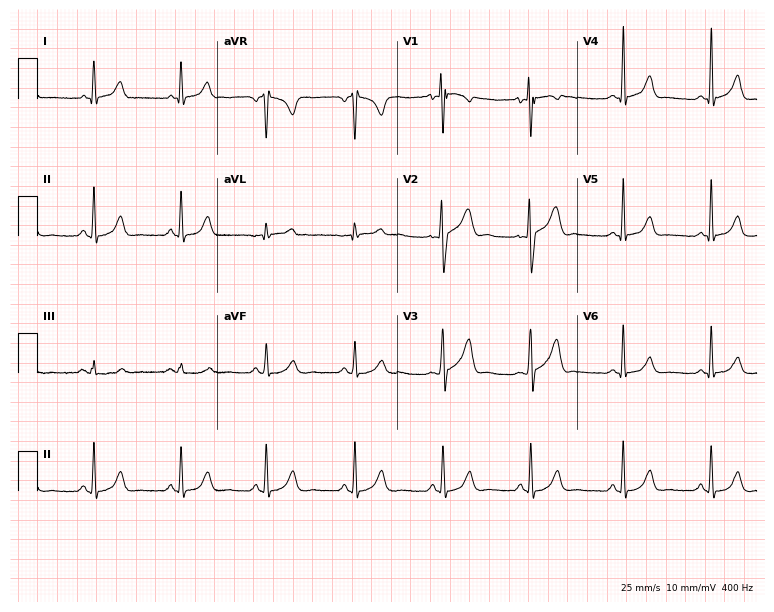
Electrocardiogram, a female, 26 years old. Overall reading on record: normal ECG.